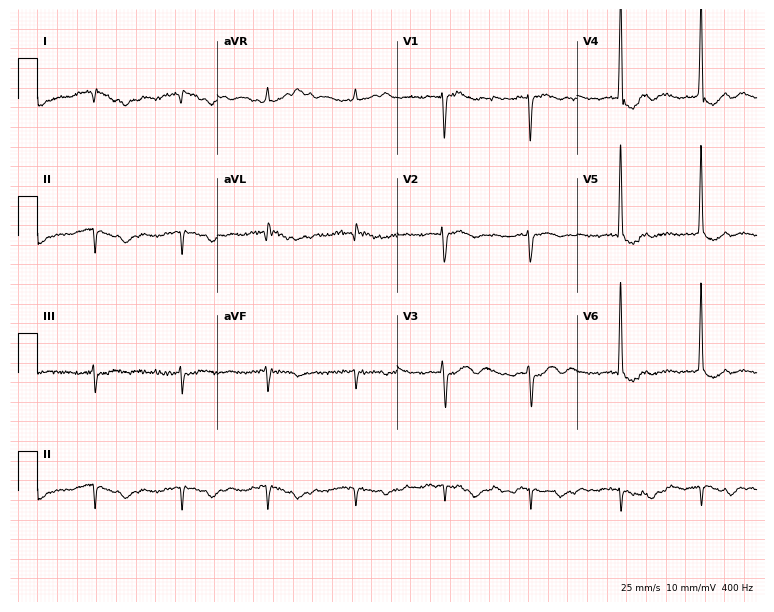
Standard 12-lead ECG recorded from a woman, 80 years old. Read as a normal ECG.